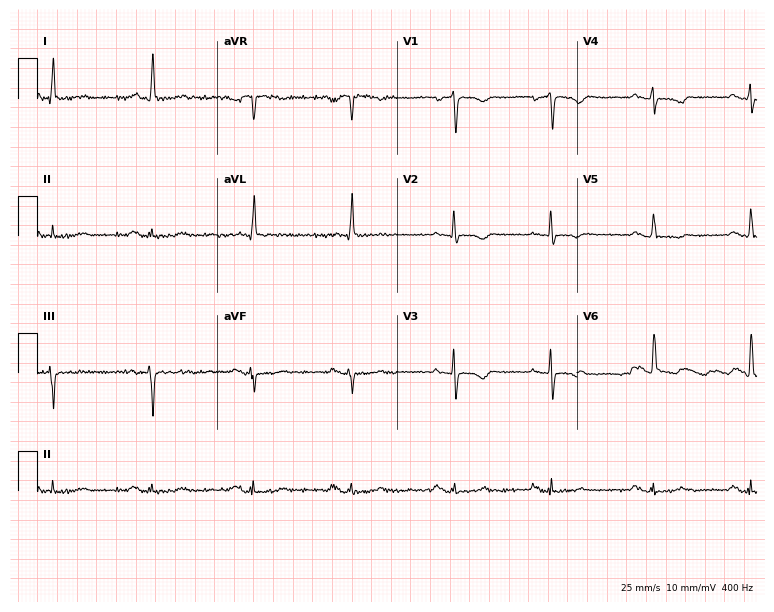
12-lead ECG from a 67-year-old female. No first-degree AV block, right bundle branch block, left bundle branch block, sinus bradycardia, atrial fibrillation or sinus tachycardia recorded for this tracing.